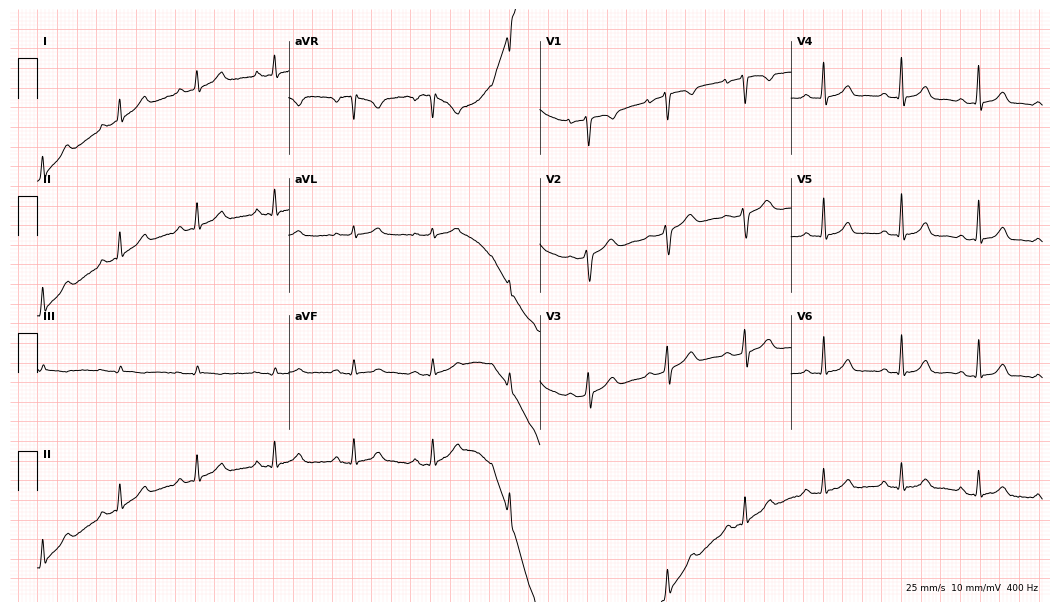
Electrocardiogram (10.2-second recording at 400 Hz), a 29-year-old female. Overall reading on record: normal ECG.